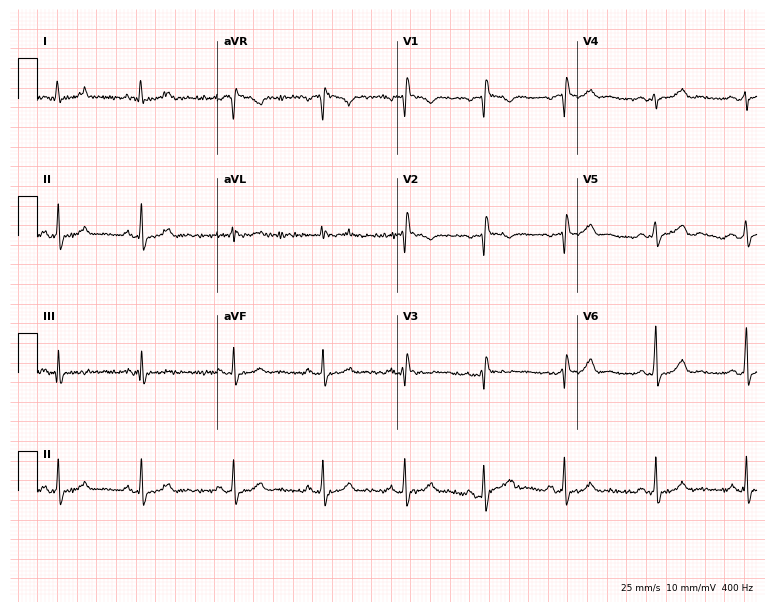
Resting 12-lead electrocardiogram (7.3-second recording at 400 Hz). Patient: a woman, 35 years old. None of these six findings is recorded: first-degree AV block, right bundle branch block, left bundle branch block, sinus bradycardia, atrial fibrillation, sinus tachycardia.